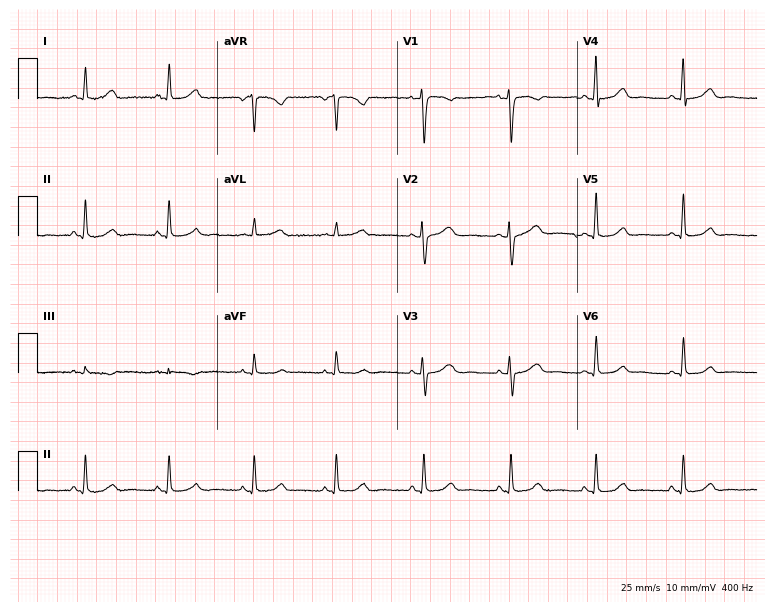
Standard 12-lead ECG recorded from a 45-year-old female patient. None of these six findings is recorded: first-degree AV block, right bundle branch block, left bundle branch block, sinus bradycardia, atrial fibrillation, sinus tachycardia.